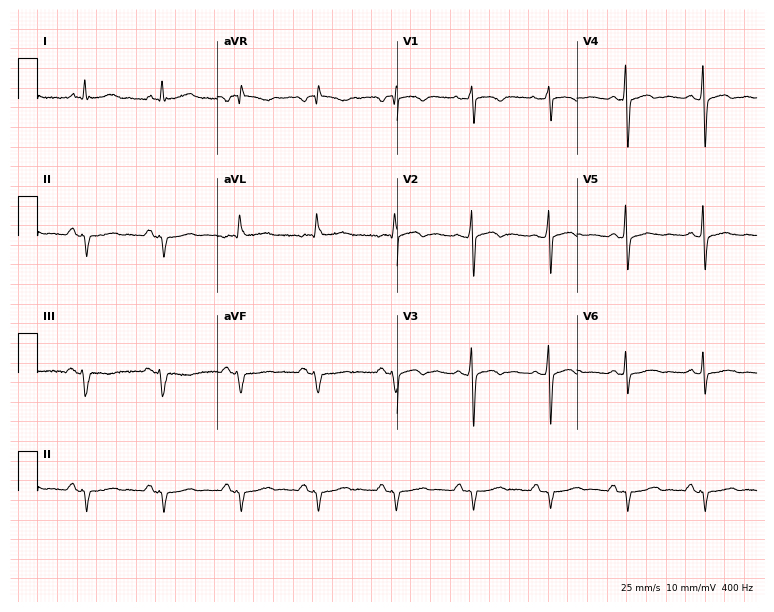
Standard 12-lead ECG recorded from a man, 67 years old. None of these six findings is recorded: first-degree AV block, right bundle branch block (RBBB), left bundle branch block (LBBB), sinus bradycardia, atrial fibrillation (AF), sinus tachycardia. Other findings, if any, are not listed.